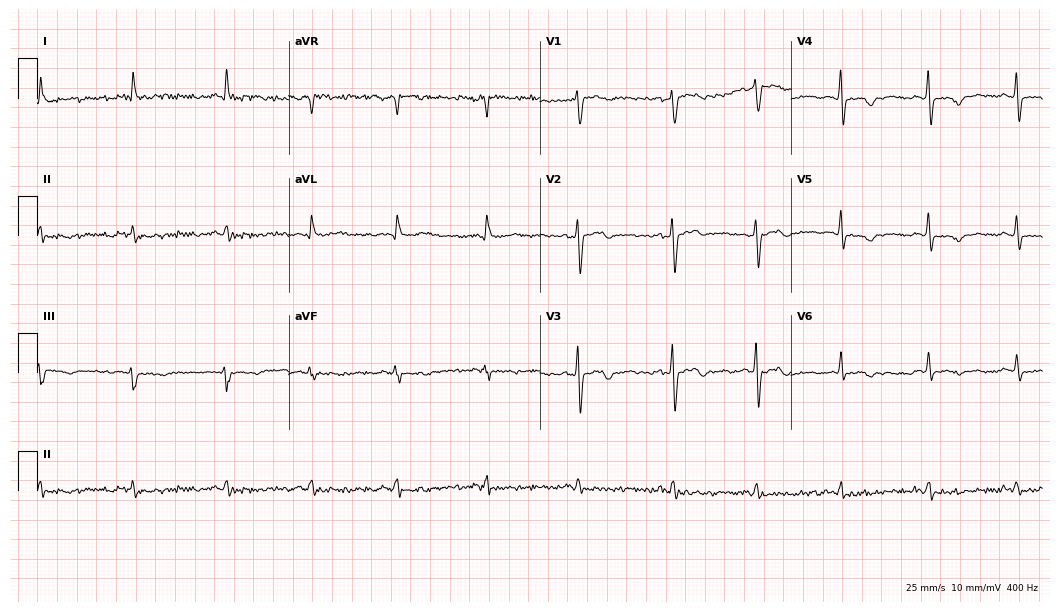
Resting 12-lead electrocardiogram (10.2-second recording at 400 Hz). Patient: a 65-year-old female. None of these six findings is recorded: first-degree AV block, right bundle branch block, left bundle branch block, sinus bradycardia, atrial fibrillation, sinus tachycardia.